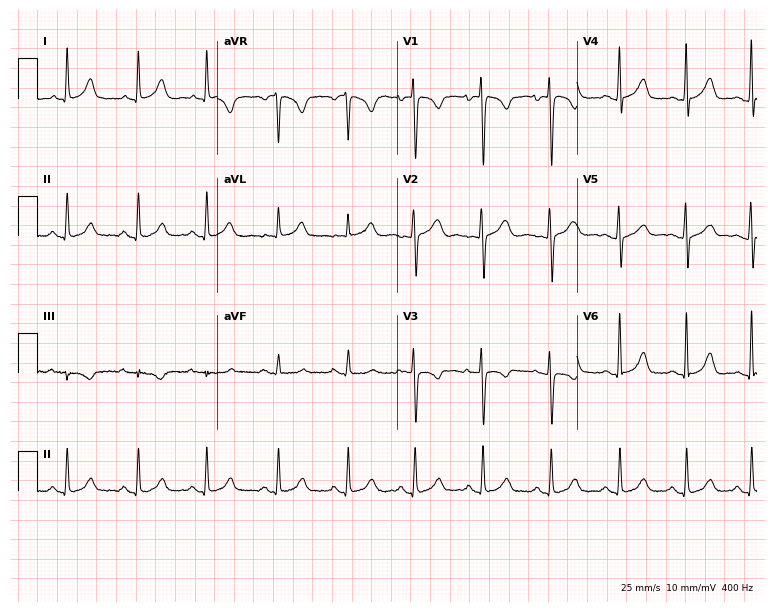
ECG — a 30-year-old female patient. Labelled as a normal ECG.